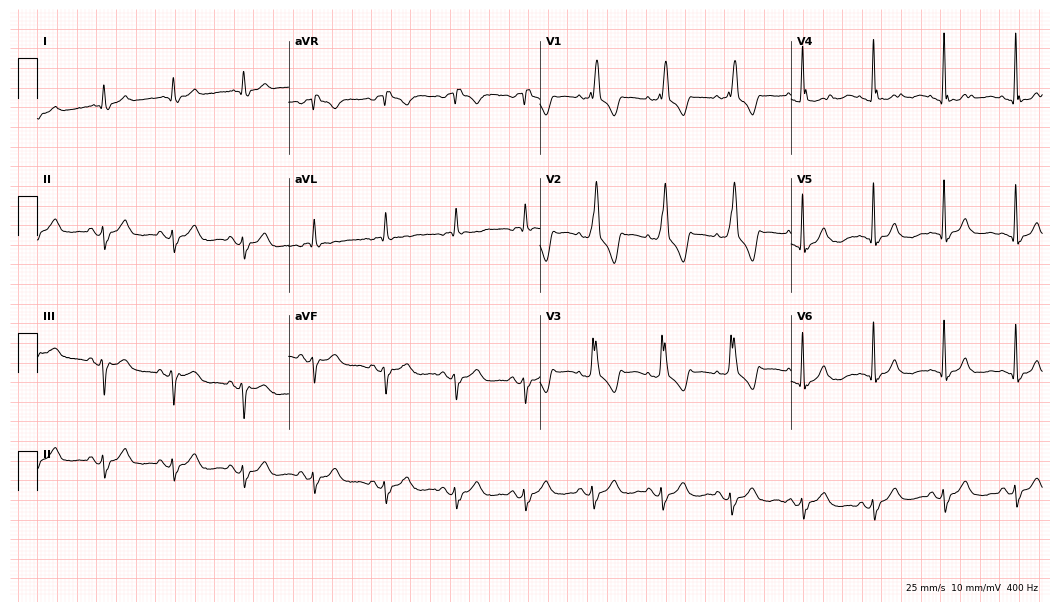
Resting 12-lead electrocardiogram. Patient: an 83-year-old female. The tracing shows right bundle branch block.